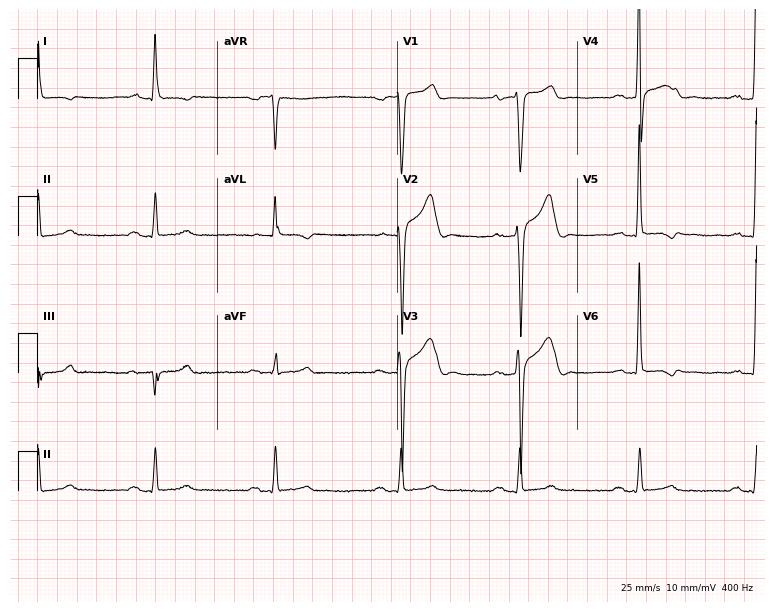
12-lead ECG from a man, 49 years old. Screened for six findings — first-degree AV block, right bundle branch block, left bundle branch block, sinus bradycardia, atrial fibrillation, sinus tachycardia — none is recorded. Other findings, if any, are not listed.